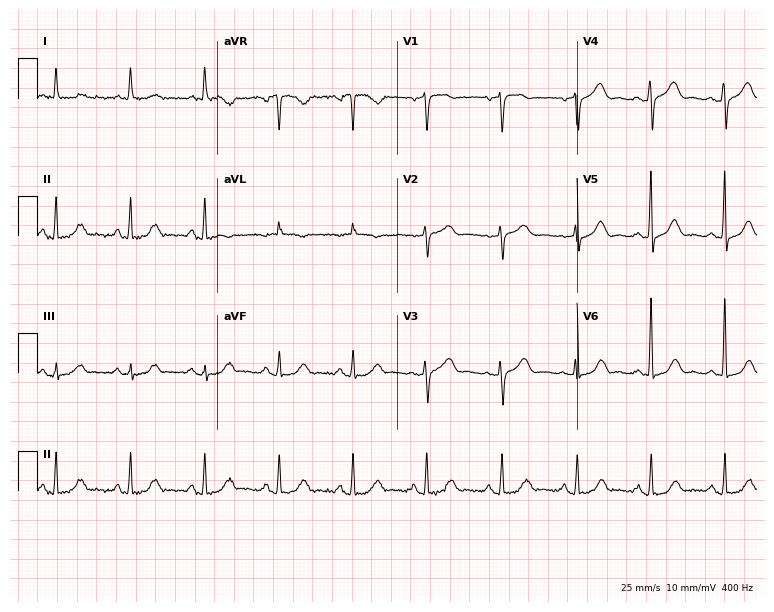
Electrocardiogram, a 66-year-old female patient. Of the six screened findings (first-degree AV block, right bundle branch block, left bundle branch block, sinus bradycardia, atrial fibrillation, sinus tachycardia), none is recorded. Other findings, if any, are not listed.